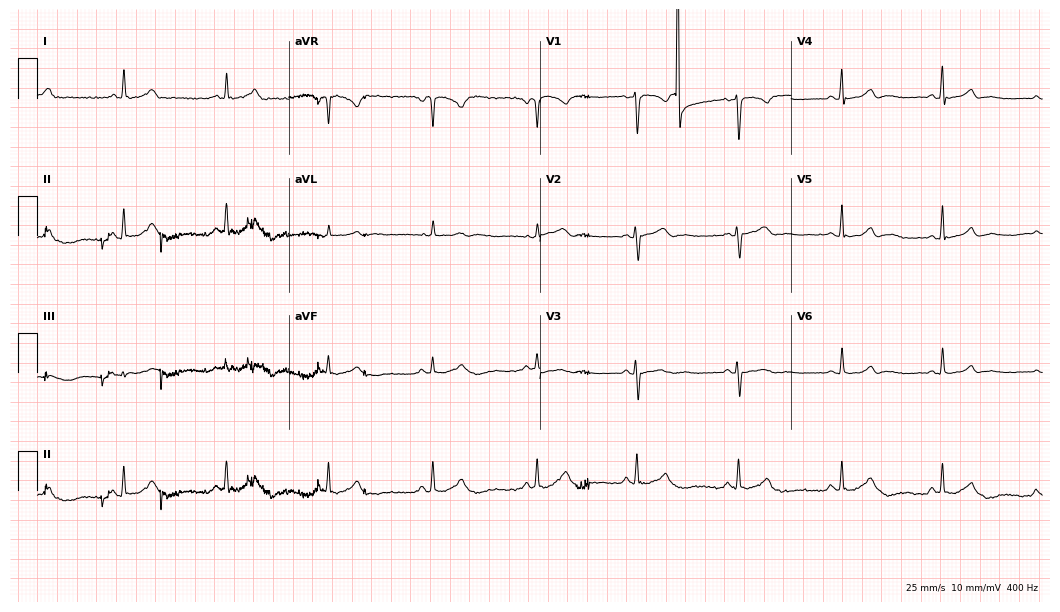
Resting 12-lead electrocardiogram (10.2-second recording at 400 Hz). Patient: a woman, 35 years old. None of these six findings is recorded: first-degree AV block, right bundle branch block, left bundle branch block, sinus bradycardia, atrial fibrillation, sinus tachycardia. Other findings, if any, are not listed.